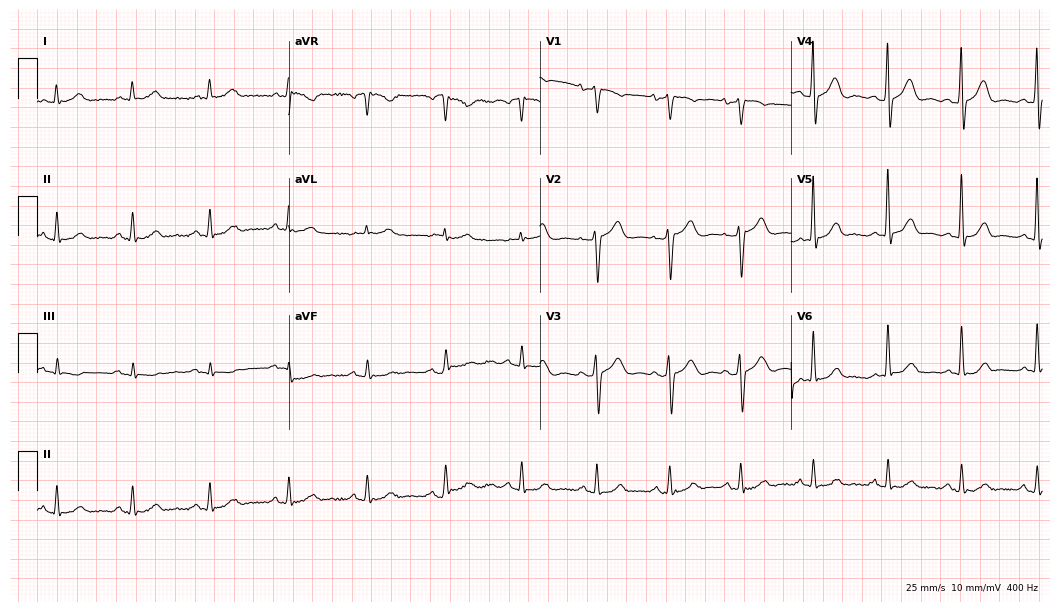
ECG — a male patient, 70 years old. Labelled as a normal ECG.